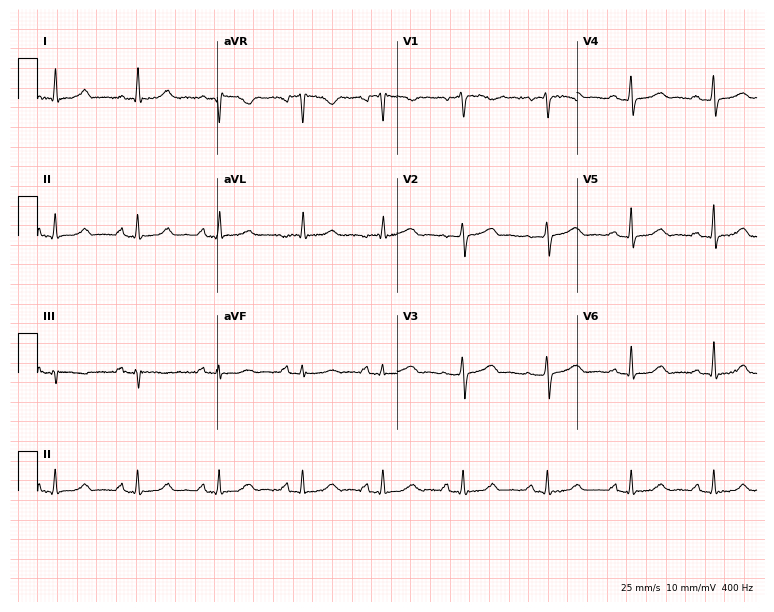
Electrocardiogram, a woman, 47 years old. Overall reading on record: normal ECG.